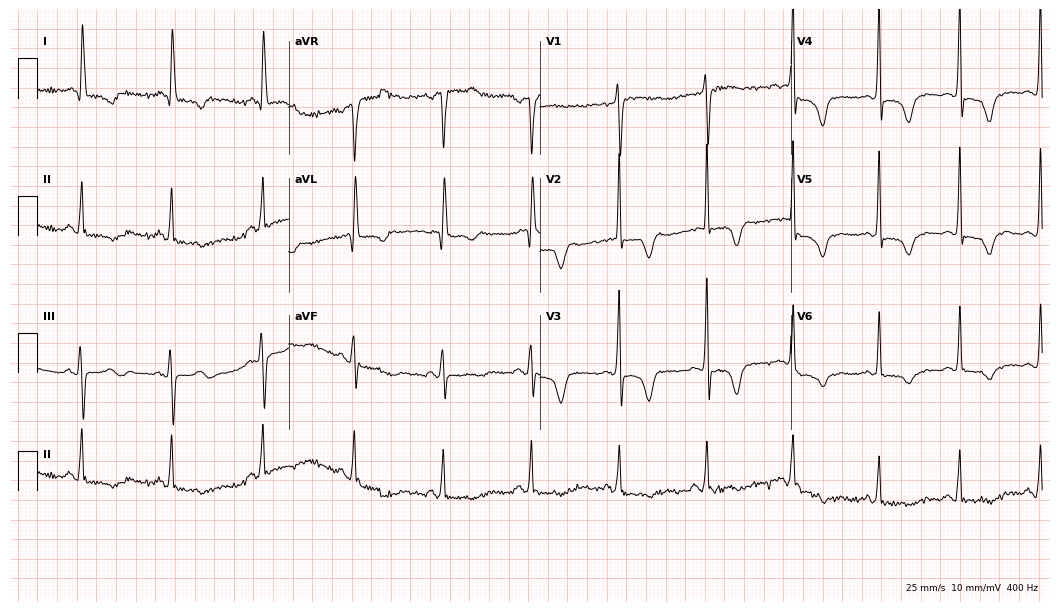
ECG — a female patient, 73 years old. Screened for six findings — first-degree AV block, right bundle branch block (RBBB), left bundle branch block (LBBB), sinus bradycardia, atrial fibrillation (AF), sinus tachycardia — none is recorded. Findings outside these six are not listed.